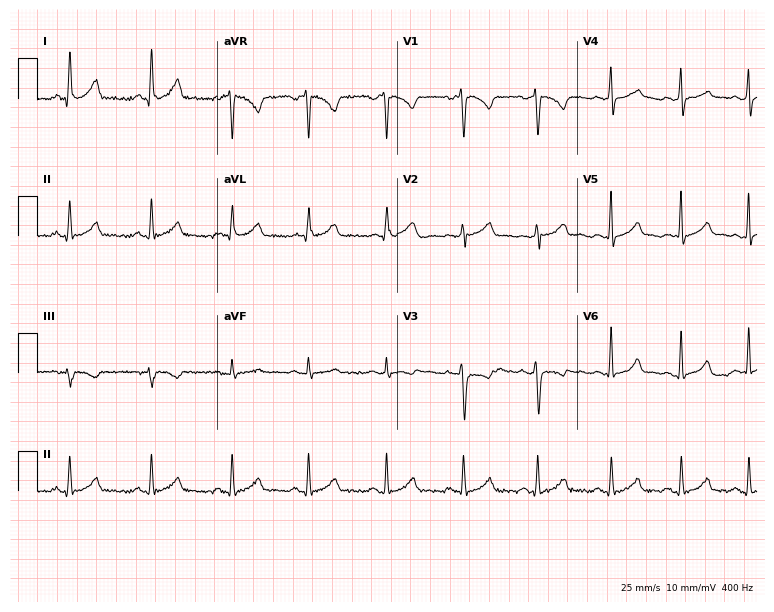
Standard 12-lead ECG recorded from a 31-year-old woman (7.3-second recording at 400 Hz). Read as a normal ECG.